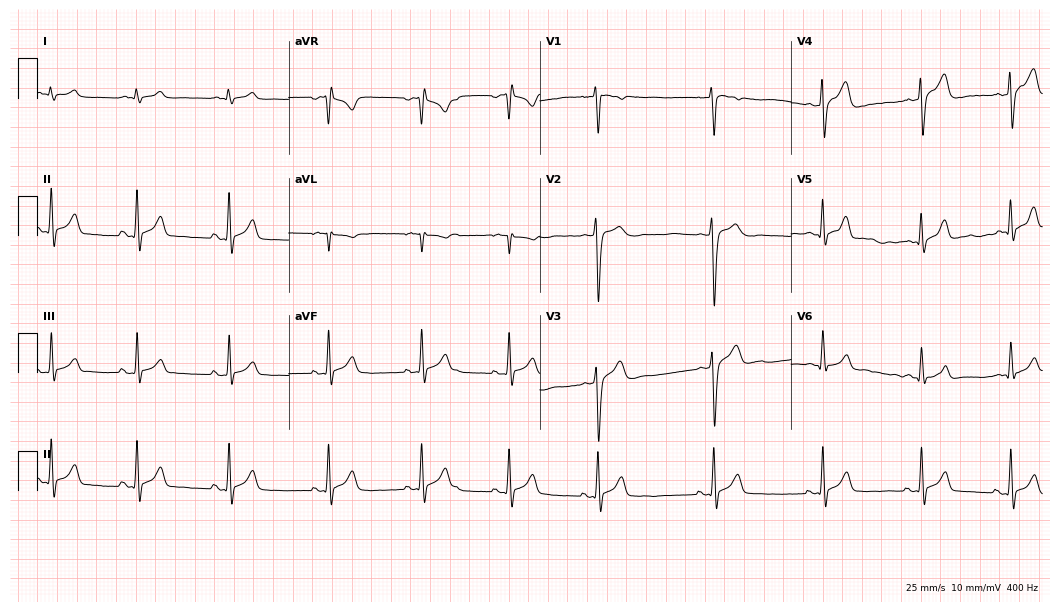
Standard 12-lead ECG recorded from a male, 19 years old (10.2-second recording at 400 Hz). Read as a normal ECG.